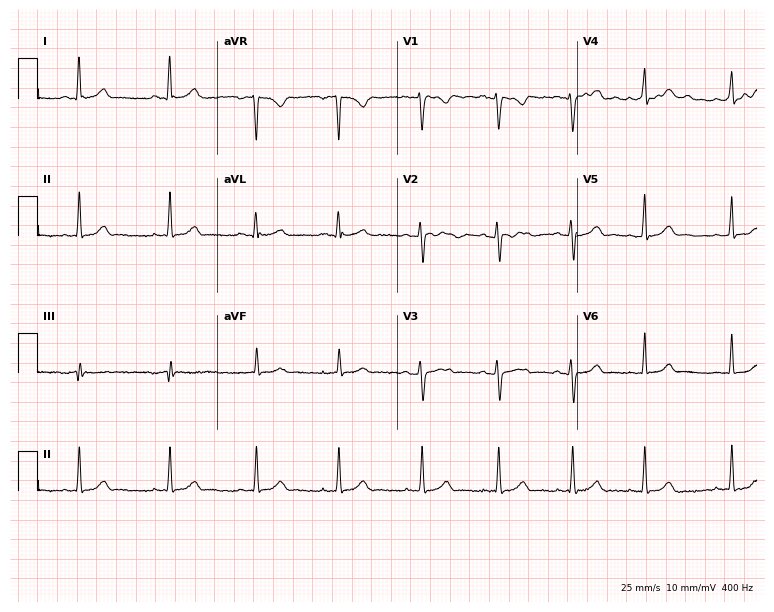
12-lead ECG from a woman, 24 years old. Labelled as a normal ECG.